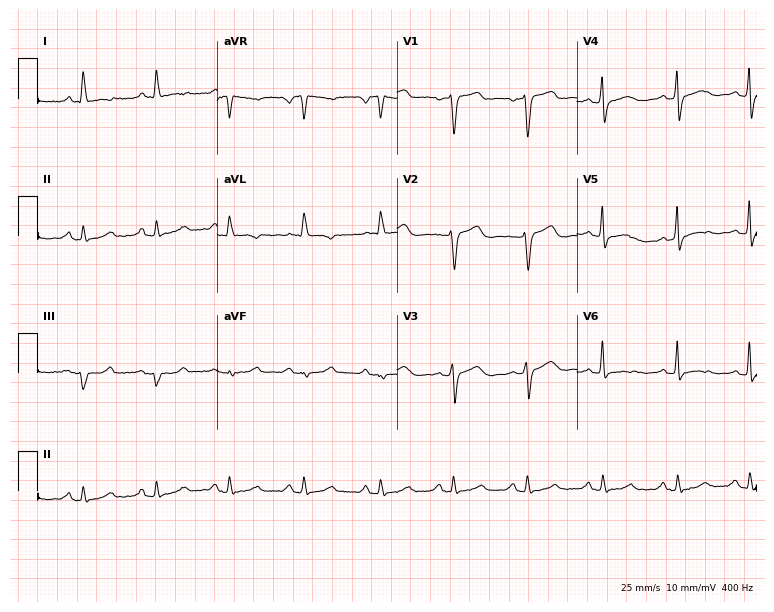
Electrocardiogram, a female patient, 63 years old. Of the six screened findings (first-degree AV block, right bundle branch block (RBBB), left bundle branch block (LBBB), sinus bradycardia, atrial fibrillation (AF), sinus tachycardia), none is recorded. Findings outside these six are not listed.